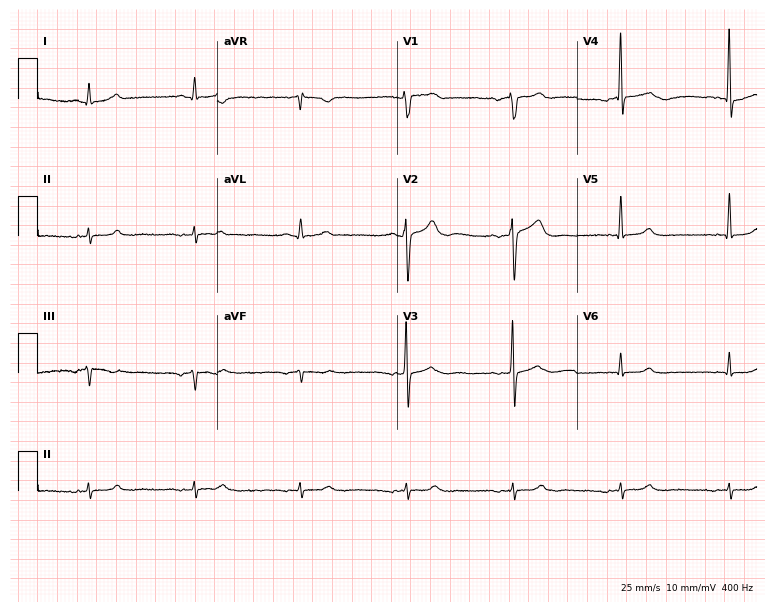
12-lead ECG from a 46-year-old male patient. Recorded interpretation: within normal limits.